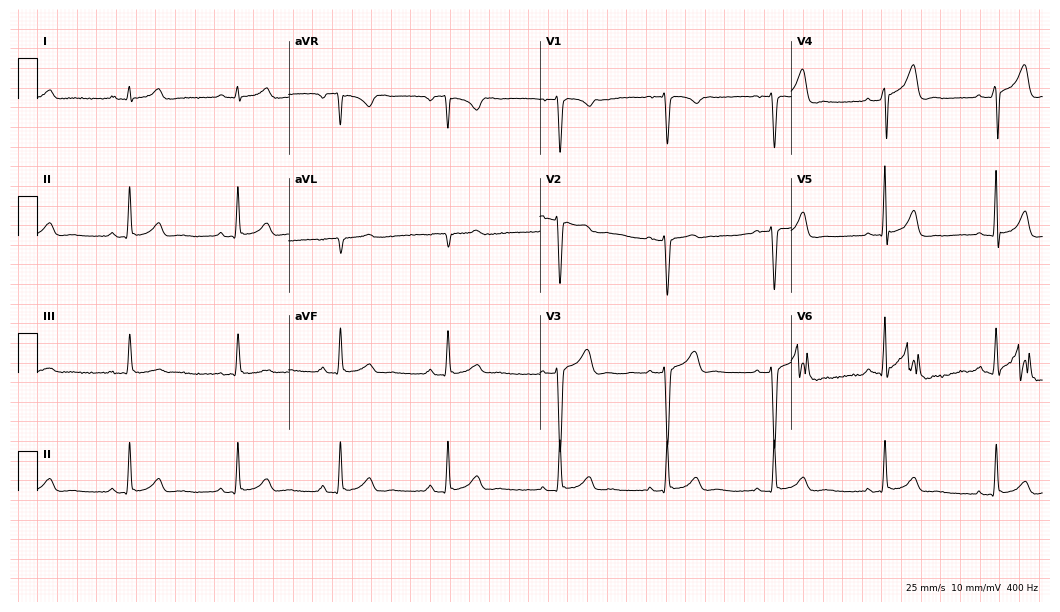
12-lead ECG from a male, 24 years old (10.2-second recording at 400 Hz). No first-degree AV block, right bundle branch block, left bundle branch block, sinus bradycardia, atrial fibrillation or sinus tachycardia recorded for this tracing. Only these six findings were labelled.